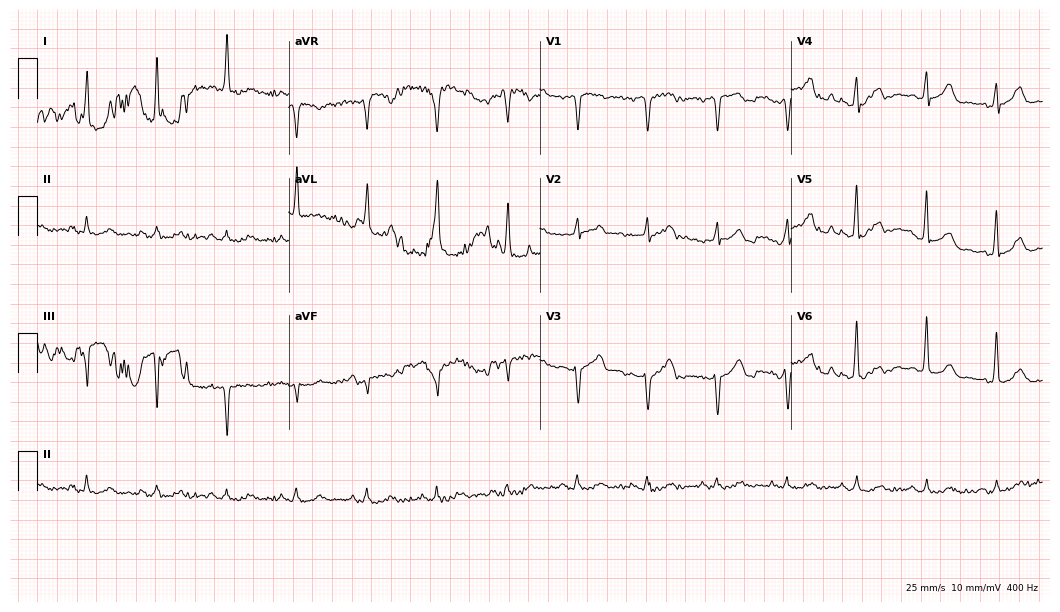
ECG (10.2-second recording at 400 Hz) — a male patient, 75 years old. Screened for six findings — first-degree AV block, right bundle branch block, left bundle branch block, sinus bradycardia, atrial fibrillation, sinus tachycardia — none is recorded. Only these six findings were labelled.